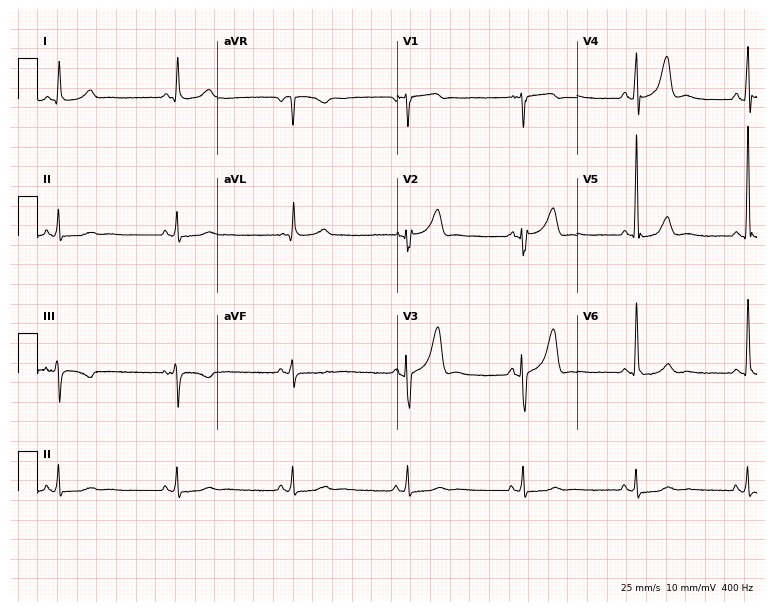
Electrocardiogram, a male, 66 years old. Of the six screened findings (first-degree AV block, right bundle branch block (RBBB), left bundle branch block (LBBB), sinus bradycardia, atrial fibrillation (AF), sinus tachycardia), none is recorded.